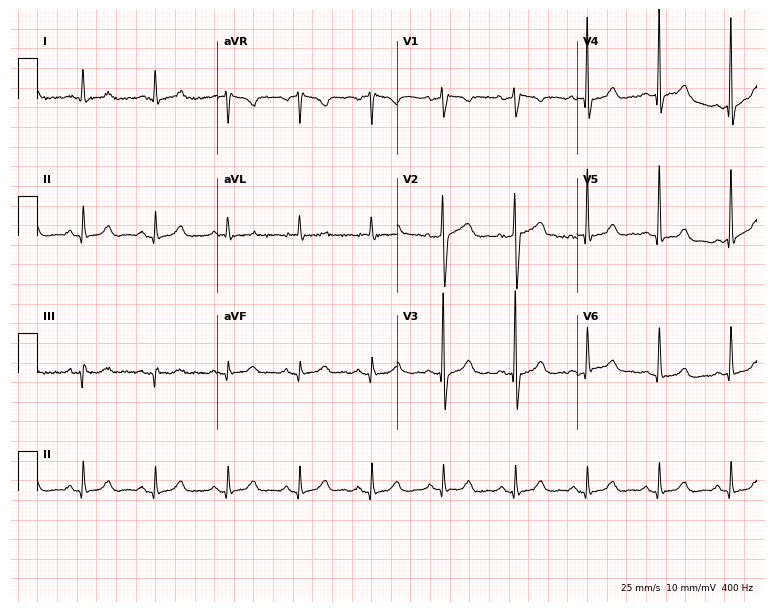
Resting 12-lead electrocardiogram (7.3-second recording at 400 Hz). Patient: a man, 82 years old. Read as a normal ECG.